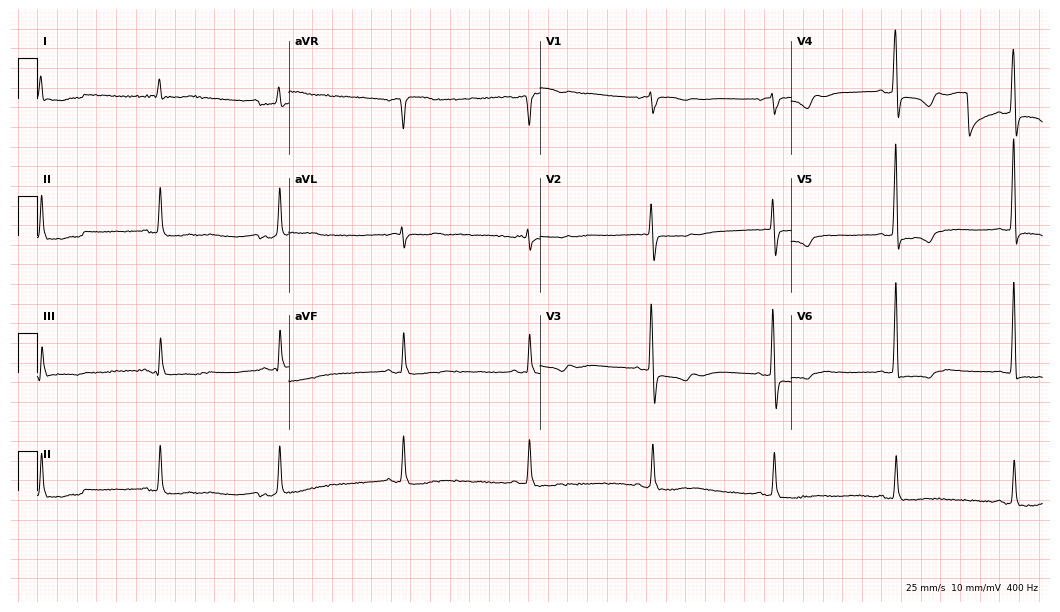
Standard 12-lead ECG recorded from an 82-year-old woman. The tracing shows sinus bradycardia (a sinus rate of 50 beats per minute or less).